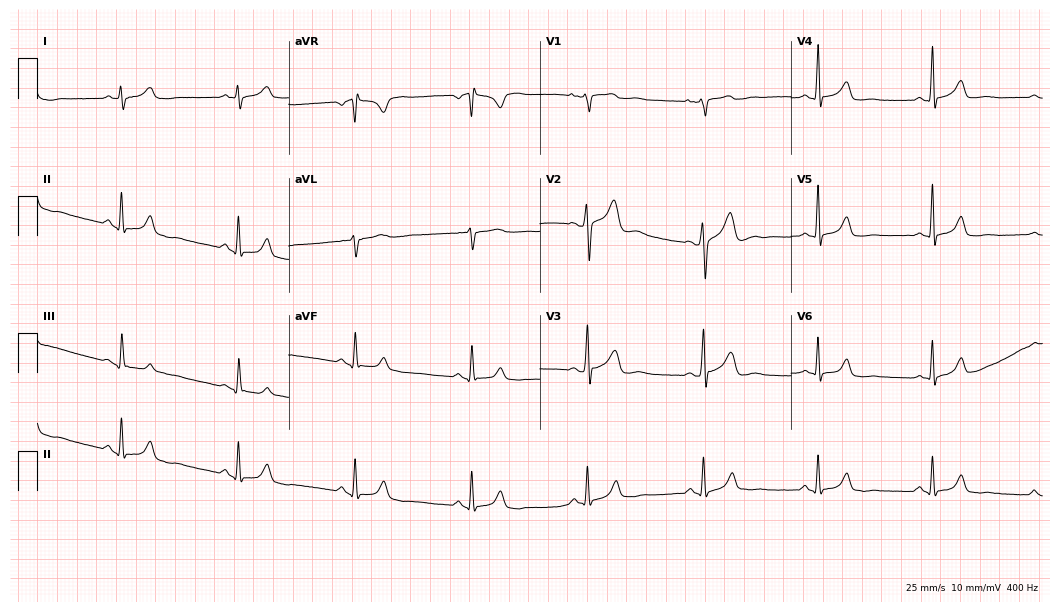
Resting 12-lead electrocardiogram. Patient: a male, 49 years old. None of these six findings is recorded: first-degree AV block, right bundle branch block, left bundle branch block, sinus bradycardia, atrial fibrillation, sinus tachycardia. Only these six findings were labelled.